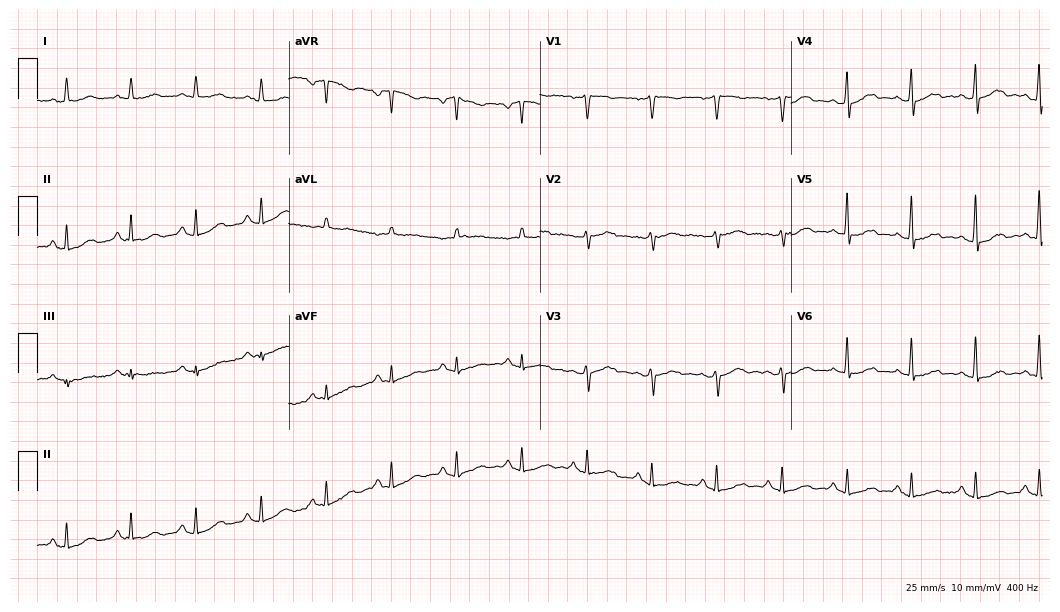
12-lead ECG from a 62-year-old woman. Labelled as a normal ECG.